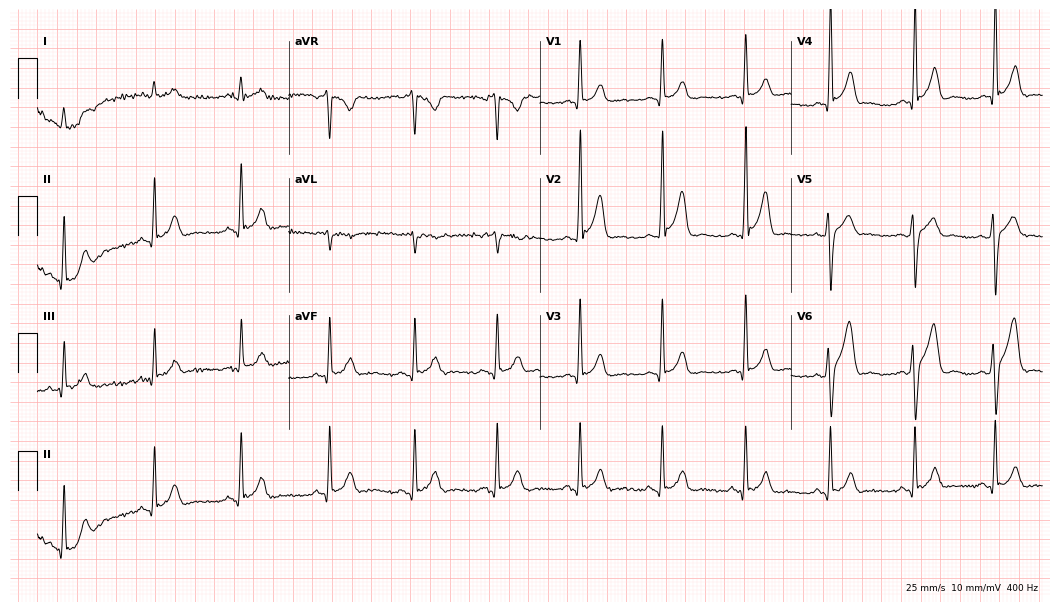
Electrocardiogram (10.2-second recording at 400 Hz), a 57-year-old man. Of the six screened findings (first-degree AV block, right bundle branch block, left bundle branch block, sinus bradycardia, atrial fibrillation, sinus tachycardia), none is recorded. Findings outside these six are not listed.